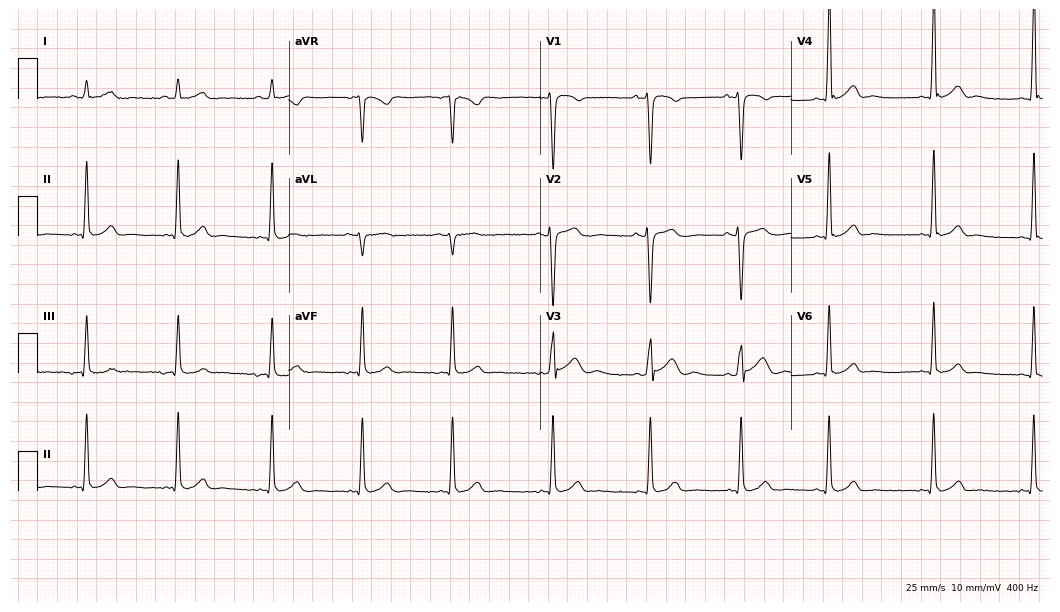
ECG — an 18-year-old male. Screened for six findings — first-degree AV block, right bundle branch block, left bundle branch block, sinus bradycardia, atrial fibrillation, sinus tachycardia — none is recorded. Findings outside these six are not listed.